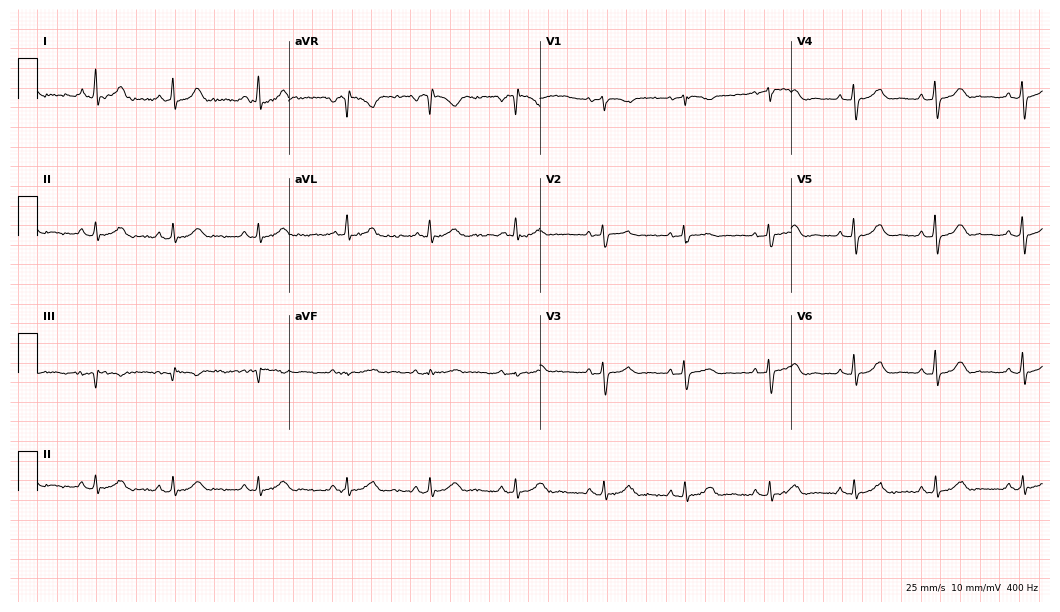
ECG — a 72-year-old female patient. Labelled as a normal ECG.